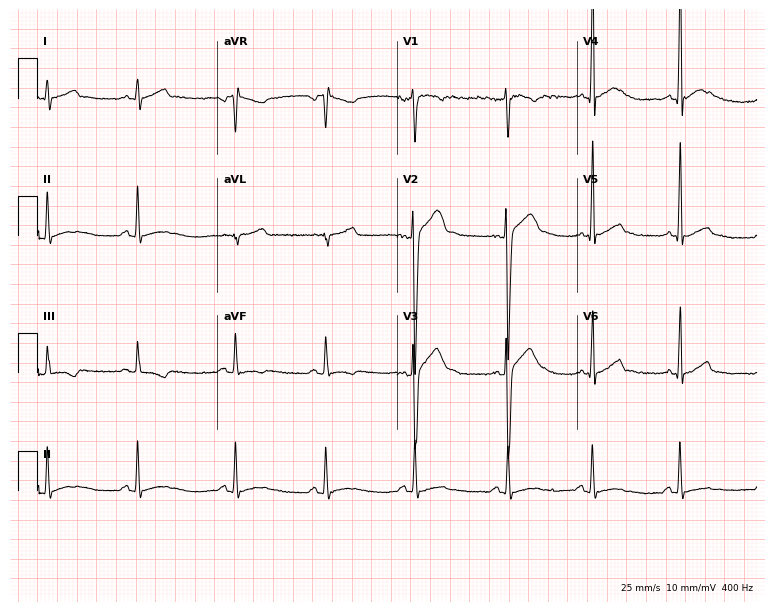
Resting 12-lead electrocardiogram (7.3-second recording at 400 Hz). Patient: a male, 17 years old. None of these six findings is recorded: first-degree AV block, right bundle branch block, left bundle branch block, sinus bradycardia, atrial fibrillation, sinus tachycardia.